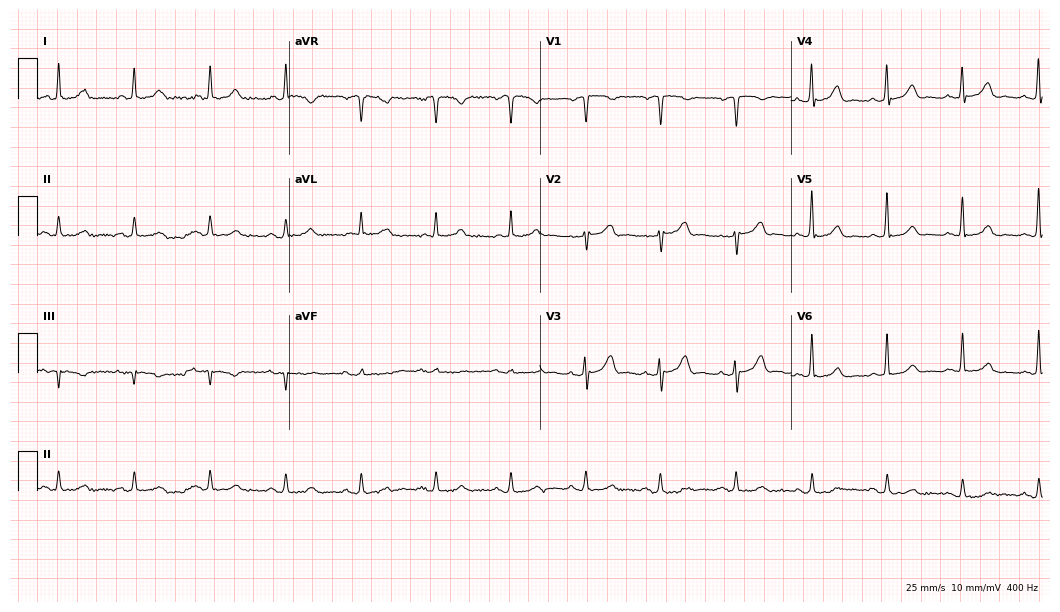
12-lead ECG from an 81-year-old male patient. No first-degree AV block, right bundle branch block (RBBB), left bundle branch block (LBBB), sinus bradycardia, atrial fibrillation (AF) or sinus tachycardia recorded for this tracing.